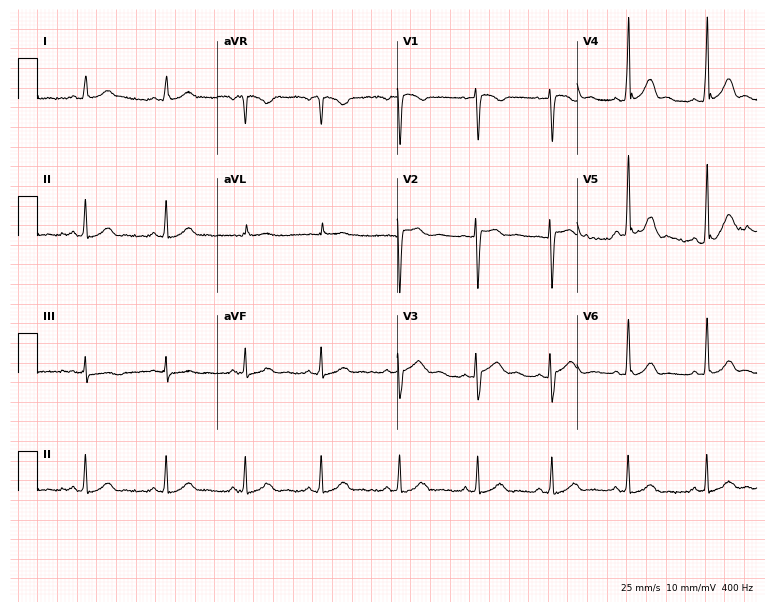
ECG — a female, 30 years old. Screened for six findings — first-degree AV block, right bundle branch block, left bundle branch block, sinus bradycardia, atrial fibrillation, sinus tachycardia — none is recorded. Only these six findings were labelled.